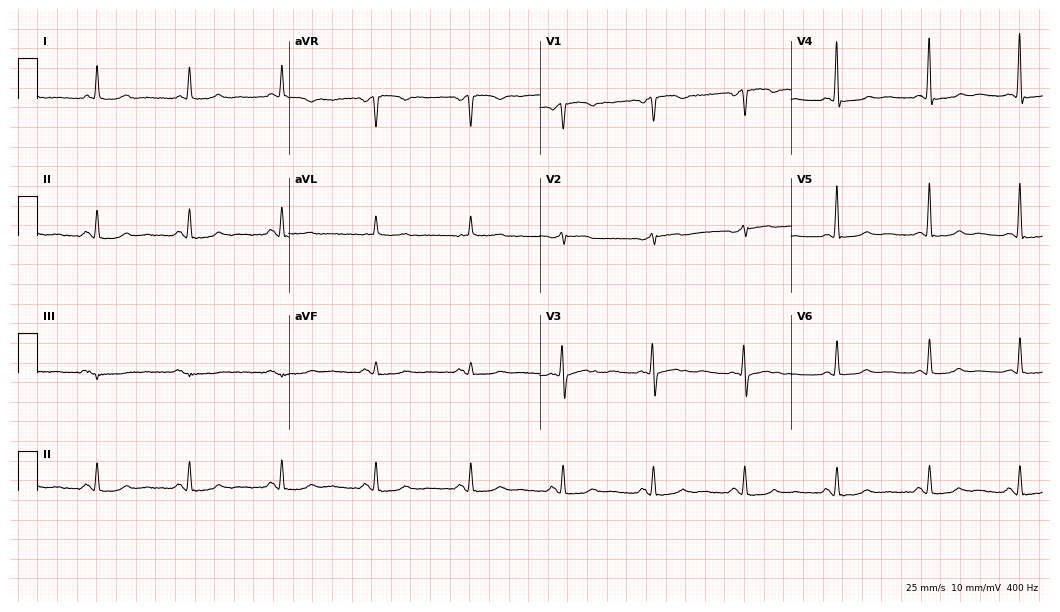
Standard 12-lead ECG recorded from a female, 56 years old (10.2-second recording at 400 Hz). None of these six findings is recorded: first-degree AV block, right bundle branch block, left bundle branch block, sinus bradycardia, atrial fibrillation, sinus tachycardia. Findings outside these six are not listed.